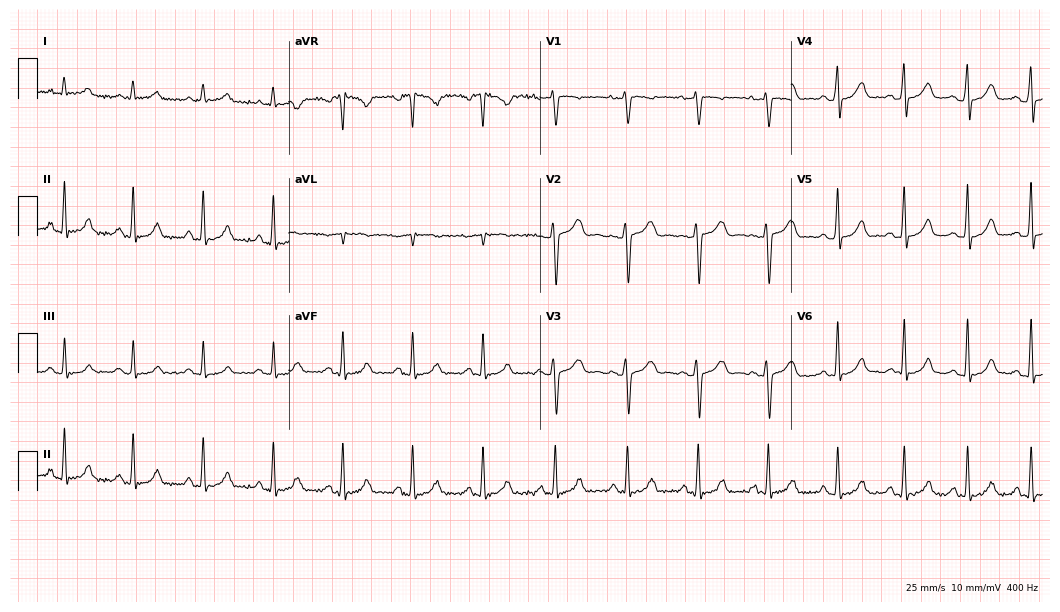
12-lead ECG (10.2-second recording at 400 Hz) from a female, 35 years old. Labelled as a normal ECG.